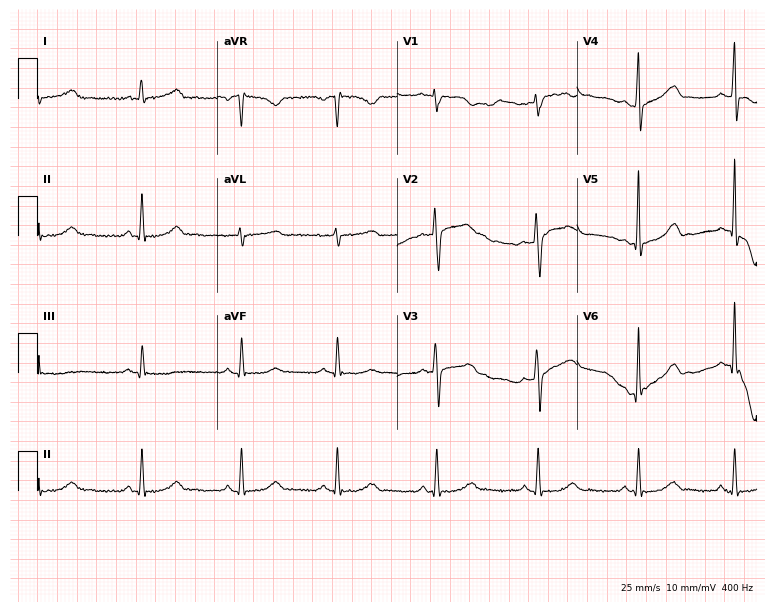
ECG — a woman, 40 years old. Screened for six findings — first-degree AV block, right bundle branch block (RBBB), left bundle branch block (LBBB), sinus bradycardia, atrial fibrillation (AF), sinus tachycardia — none is recorded. Only these six findings were labelled.